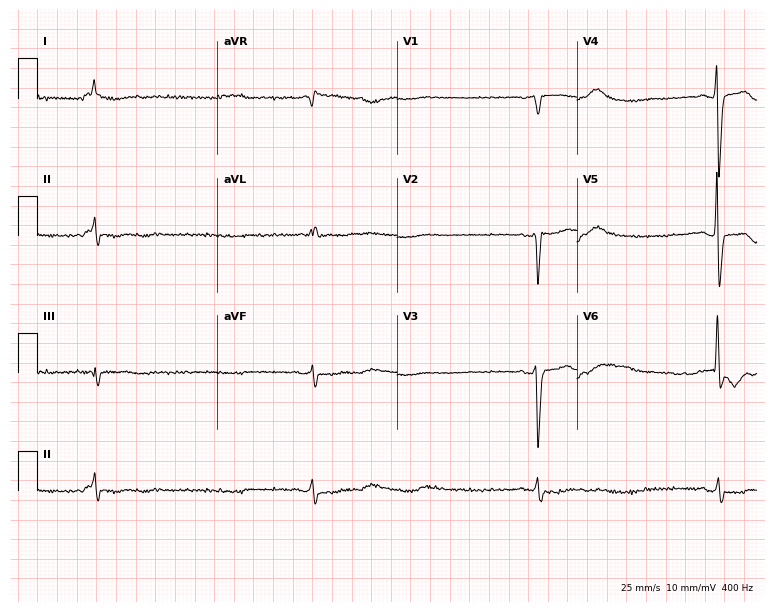
Resting 12-lead electrocardiogram (7.3-second recording at 400 Hz). Patient: a male, 86 years old. The tracing shows atrial fibrillation.